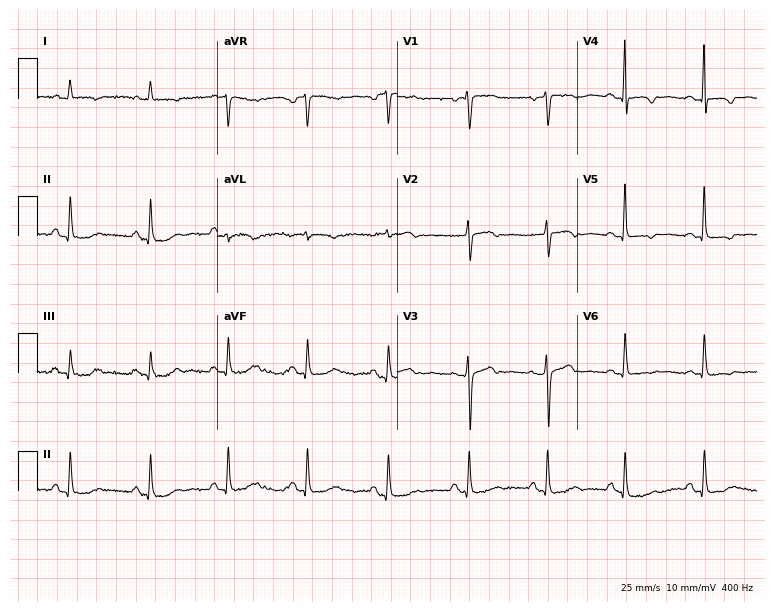
12-lead ECG from a 79-year-old female patient. Screened for six findings — first-degree AV block, right bundle branch block, left bundle branch block, sinus bradycardia, atrial fibrillation, sinus tachycardia — none is recorded. Findings outside these six are not listed.